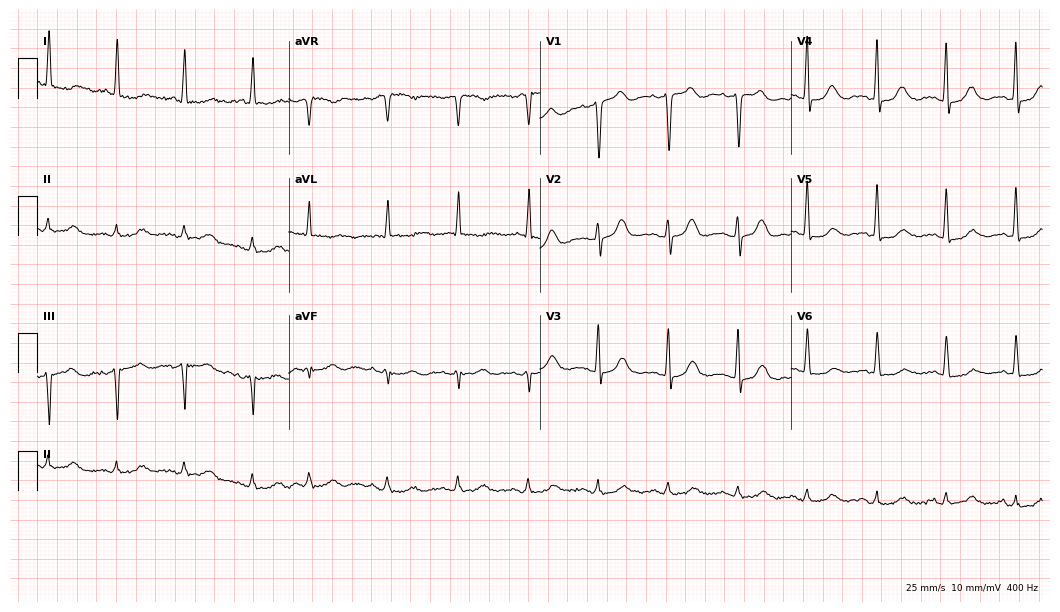
12-lead ECG from a female, 72 years old (10.2-second recording at 400 Hz). No first-degree AV block, right bundle branch block, left bundle branch block, sinus bradycardia, atrial fibrillation or sinus tachycardia recorded for this tracing.